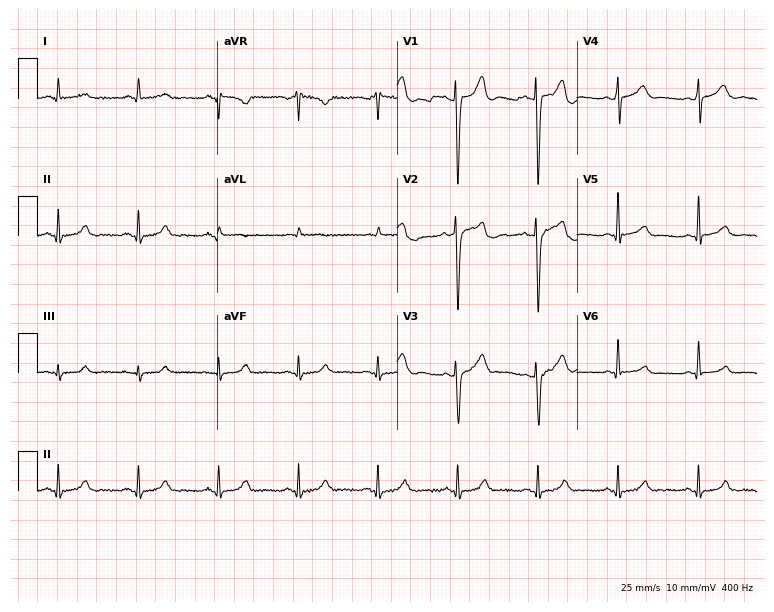
ECG — a man, 45 years old. Labelled as a normal ECG.